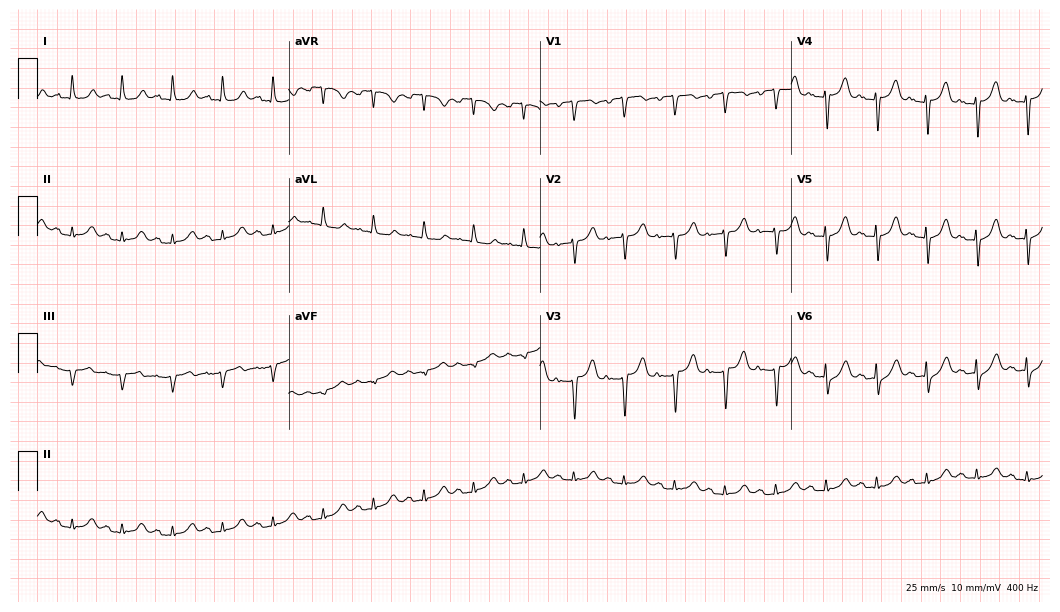
12-lead ECG from a female, 76 years old. Findings include sinus tachycardia (a sinus rate of 100 beats per minute or more).